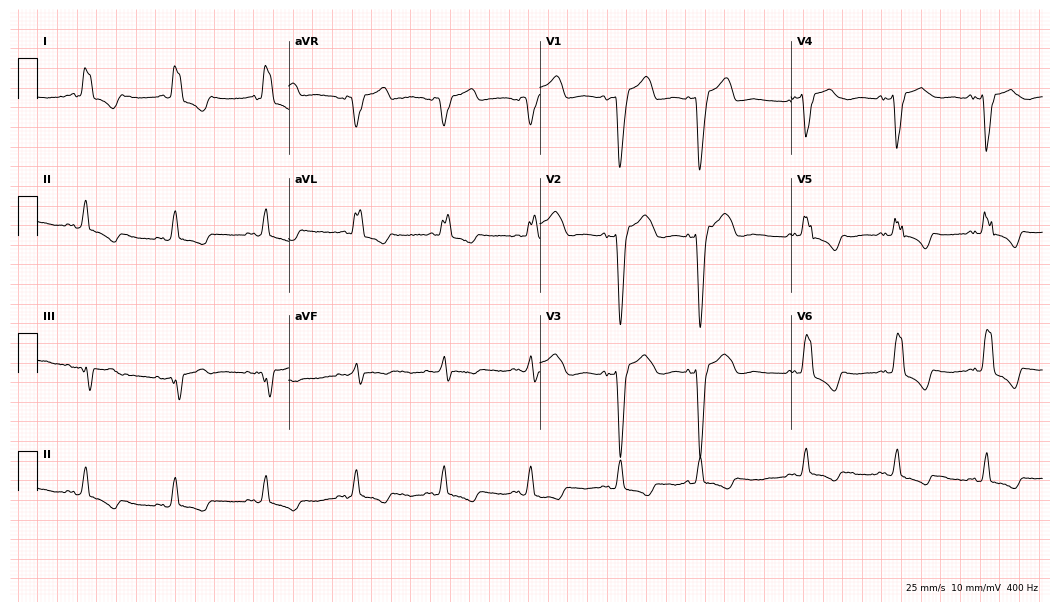
ECG — a male patient, 80 years old. Findings include left bundle branch block.